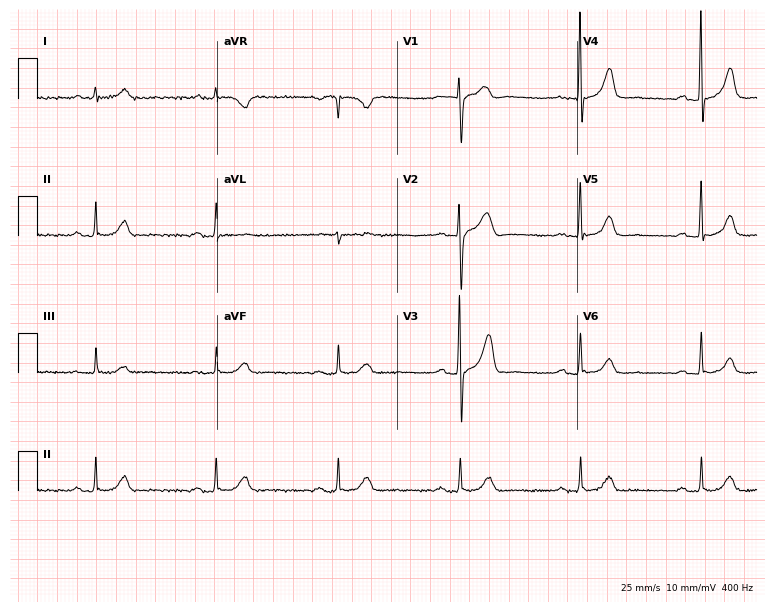
Resting 12-lead electrocardiogram (7.3-second recording at 400 Hz). Patient: a male, 70 years old. The tracing shows first-degree AV block, right bundle branch block, sinus bradycardia (a sinus rate of 50 beats per minute or less).